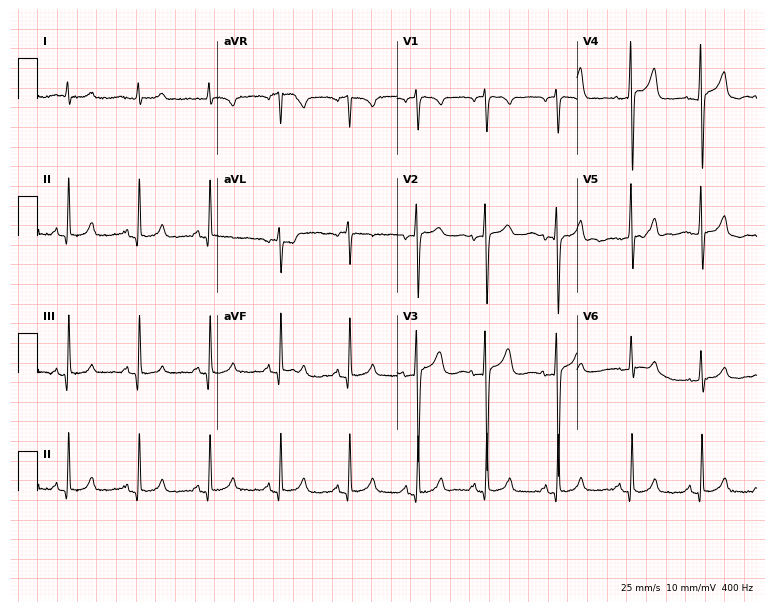
ECG — a 63-year-old male. Screened for six findings — first-degree AV block, right bundle branch block, left bundle branch block, sinus bradycardia, atrial fibrillation, sinus tachycardia — none is recorded. Findings outside these six are not listed.